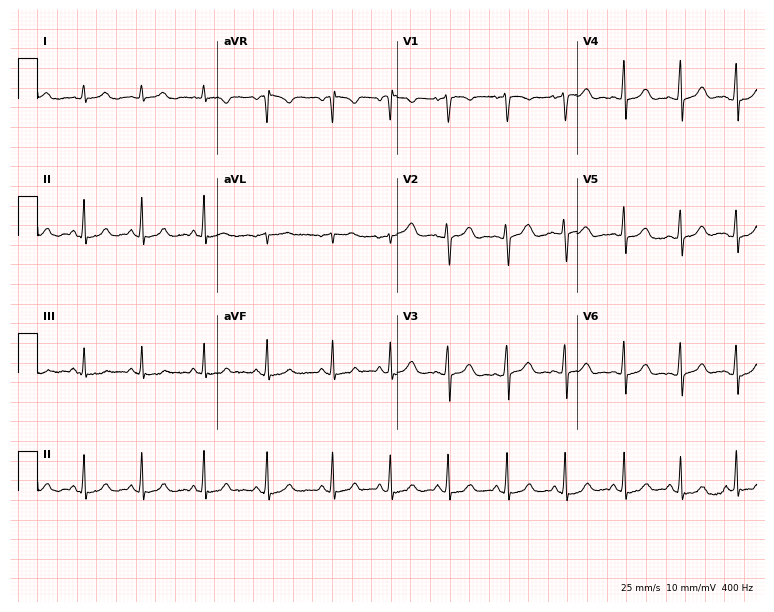
Electrocardiogram, a woman, 20 years old. Of the six screened findings (first-degree AV block, right bundle branch block (RBBB), left bundle branch block (LBBB), sinus bradycardia, atrial fibrillation (AF), sinus tachycardia), none is recorded. Findings outside these six are not listed.